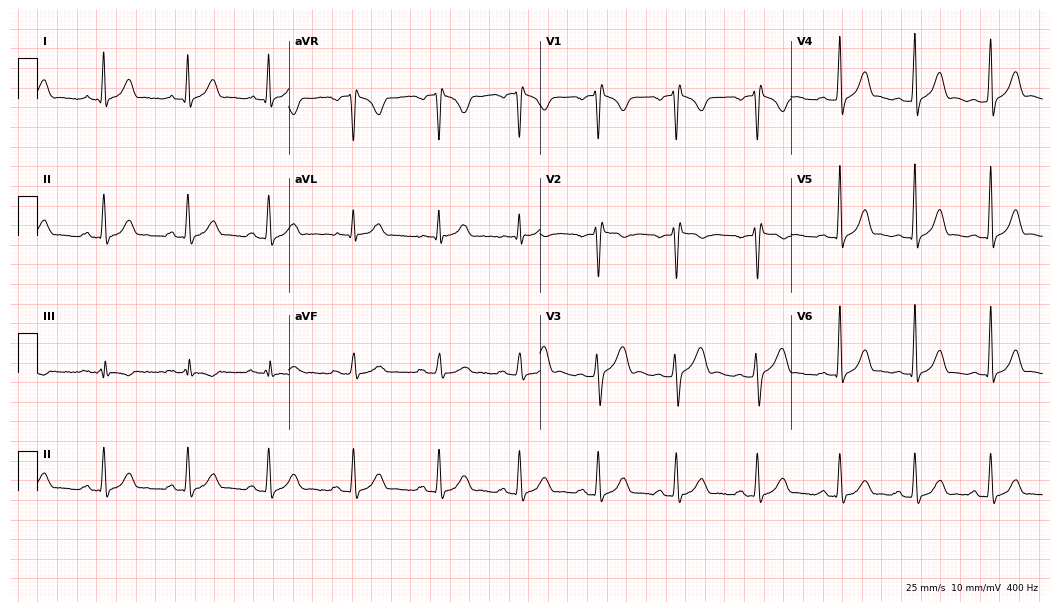
12-lead ECG from a 34-year-old female. Screened for six findings — first-degree AV block, right bundle branch block, left bundle branch block, sinus bradycardia, atrial fibrillation, sinus tachycardia — none is recorded.